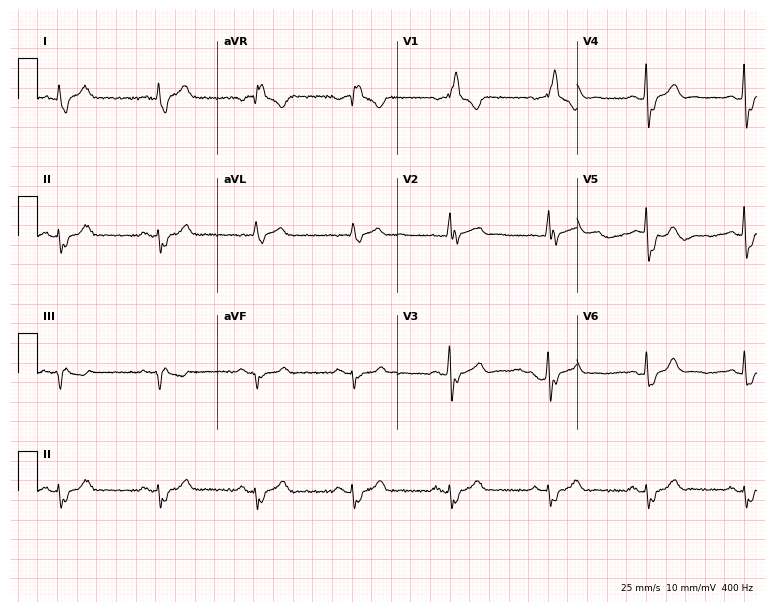
ECG — a 49-year-old man. Screened for six findings — first-degree AV block, right bundle branch block (RBBB), left bundle branch block (LBBB), sinus bradycardia, atrial fibrillation (AF), sinus tachycardia — none is recorded.